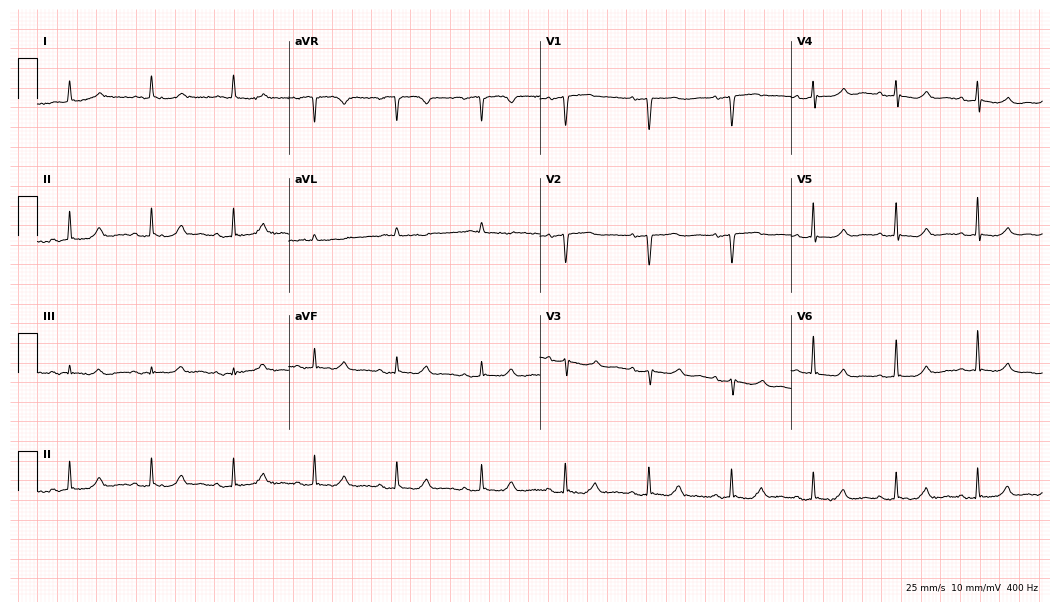
Electrocardiogram (10.2-second recording at 400 Hz), a 79-year-old female patient. Overall reading on record: normal ECG.